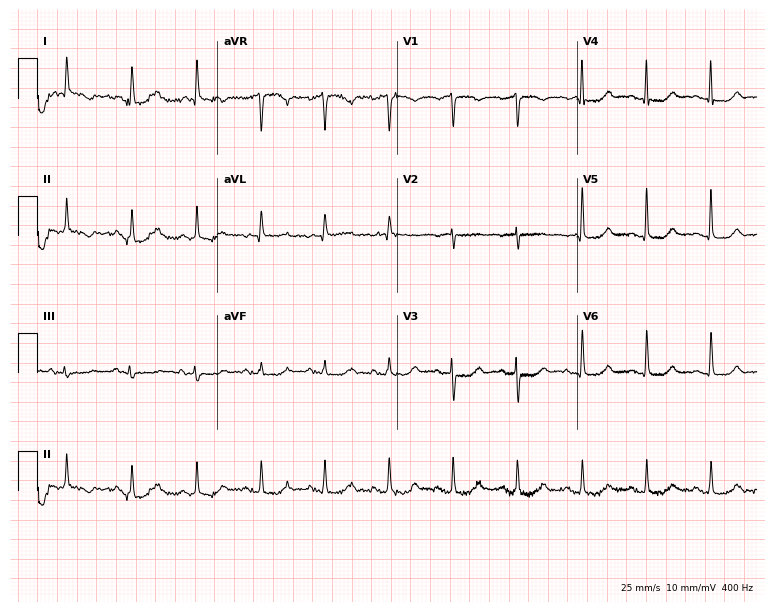
Standard 12-lead ECG recorded from a female patient, 85 years old (7.3-second recording at 400 Hz). None of these six findings is recorded: first-degree AV block, right bundle branch block, left bundle branch block, sinus bradycardia, atrial fibrillation, sinus tachycardia.